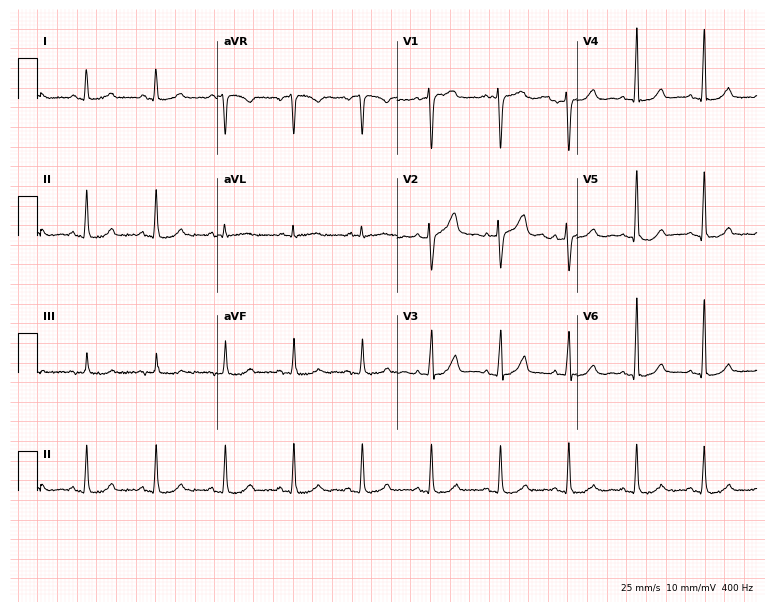
12-lead ECG from a 69-year-old female. Screened for six findings — first-degree AV block, right bundle branch block, left bundle branch block, sinus bradycardia, atrial fibrillation, sinus tachycardia — none is recorded. Findings outside these six are not listed.